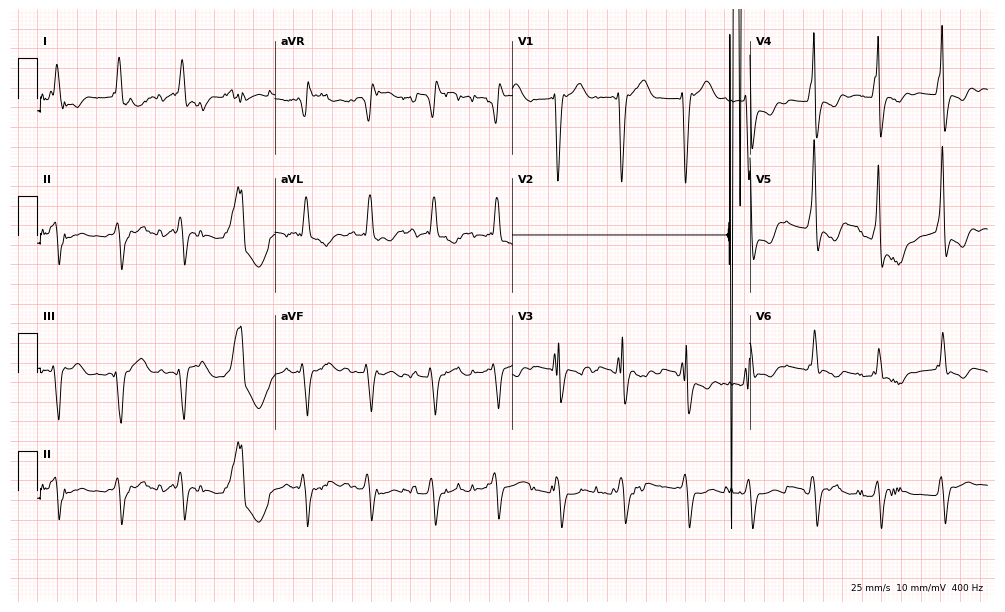
Electrocardiogram (9.7-second recording at 400 Hz), an 83-year-old man. Of the six screened findings (first-degree AV block, right bundle branch block, left bundle branch block, sinus bradycardia, atrial fibrillation, sinus tachycardia), none is recorded.